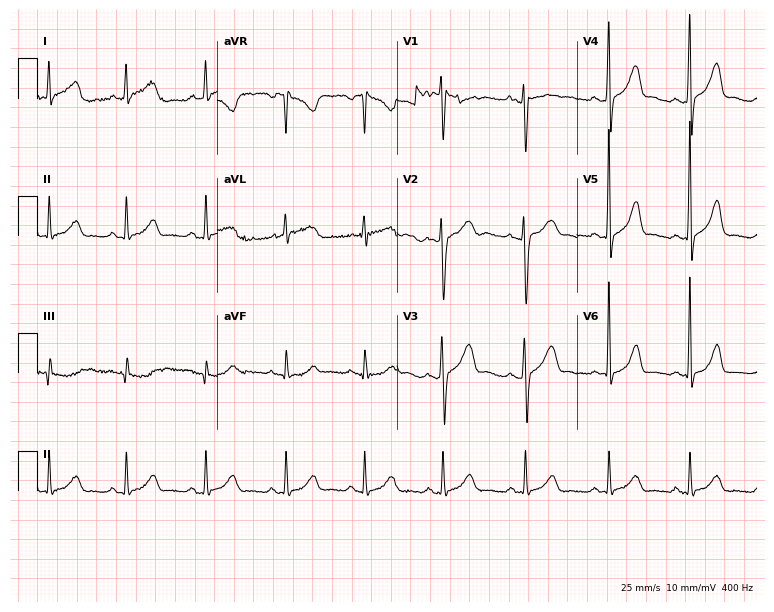
12-lead ECG from a female patient, 39 years old. Recorded interpretation: within normal limits.